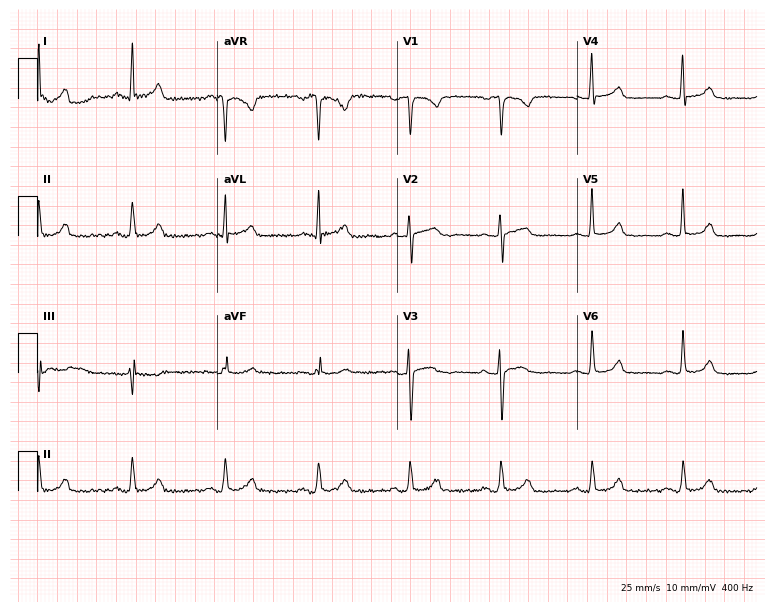
Electrocardiogram, a 55-year-old woman. Overall reading on record: normal ECG.